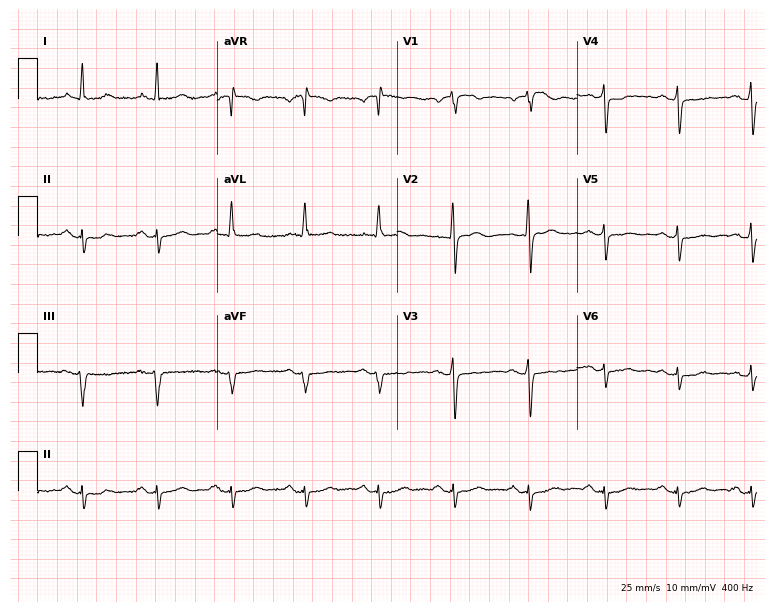
12-lead ECG from a female, 64 years old (7.3-second recording at 400 Hz). No first-degree AV block, right bundle branch block, left bundle branch block, sinus bradycardia, atrial fibrillation or sinus tachycardia recorded for this tracing.